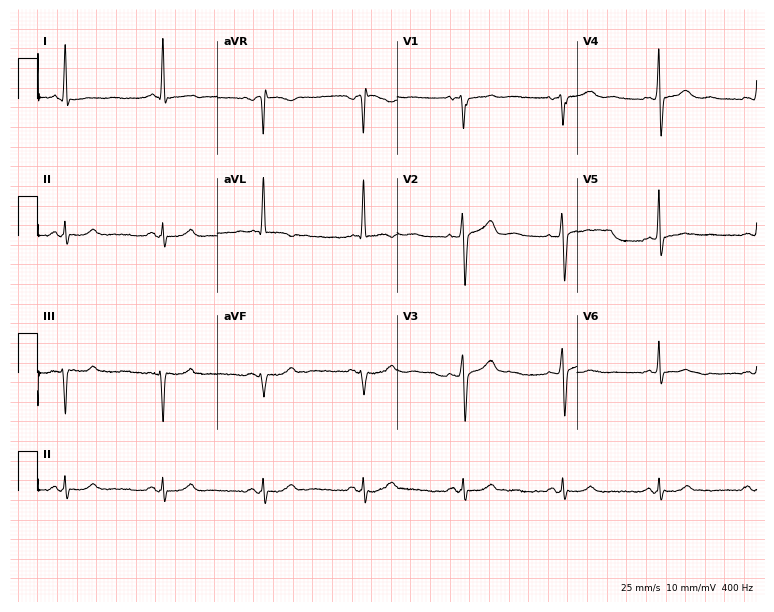
Standard 12-lead ECG recorded from a 63-year-old male patient (7.3-second recording at 400 Hz). None of these six findings is recorded: first-degree AV block, right bundle branch block (RBBB), left bundle branch block (LBBB), sinus bradycardia, atrial fibrillation (AF), sinus tachycardia. Findings outside these six are not listed.